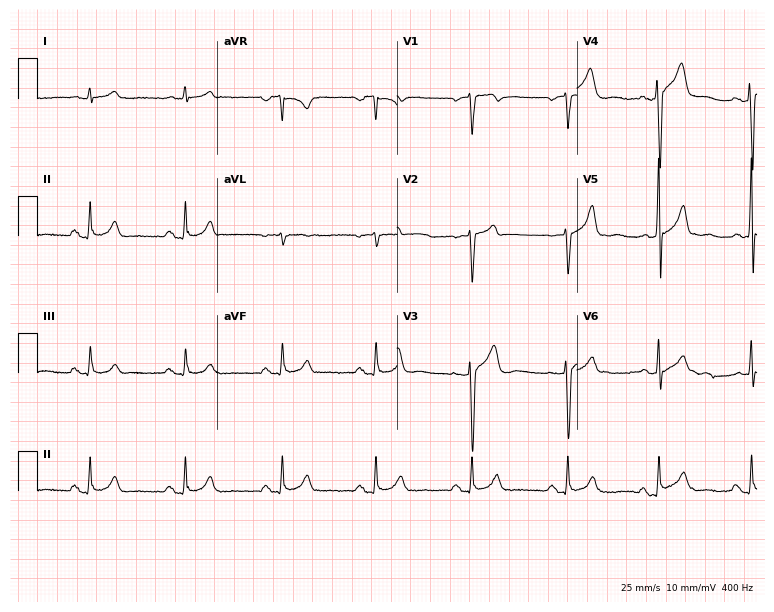
12-lead ECG (7.3-second recording at 400 Hz) from a male patient, 59 years old. Screened for six findings — first-degree AV block, right bundle branch block, left bundle branch block, sinus bradycardia, atrial fibrillation, sinus tachycardia — none is recorded.